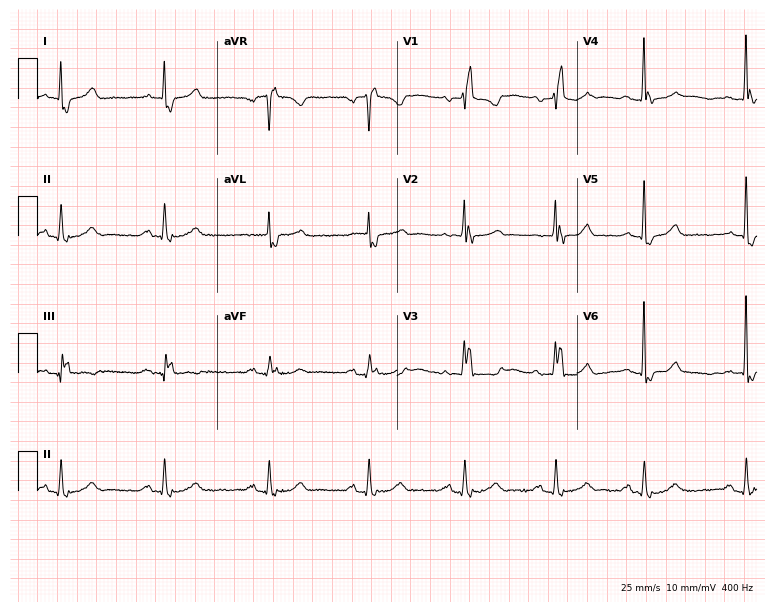
12-lead ECG from a female, 76 years old (7.3-second recording at 400 Hz). Shows right bundle branch block (RBBB).